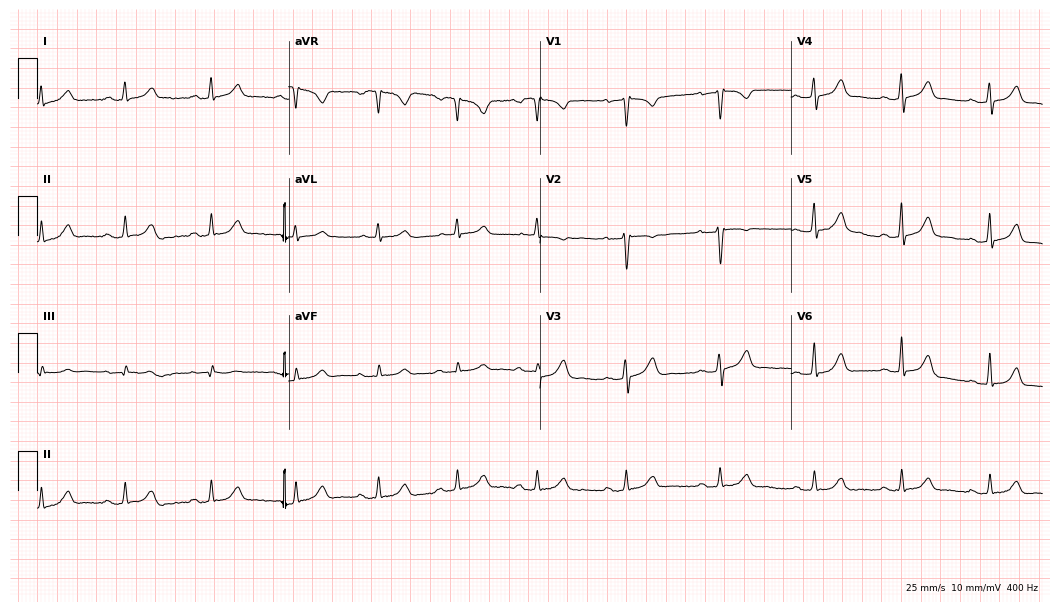
ECG — a woman, 35 years old. Labelled as a normal ECG.